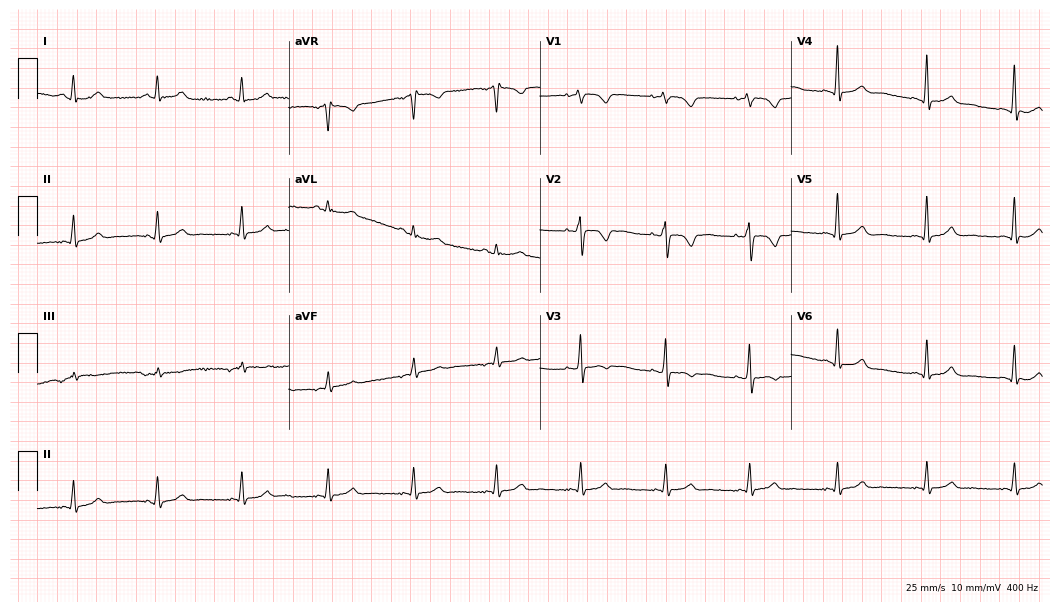
12-lead ECG from a 41-year-old woman. Recorded interpretation: within normal limits.